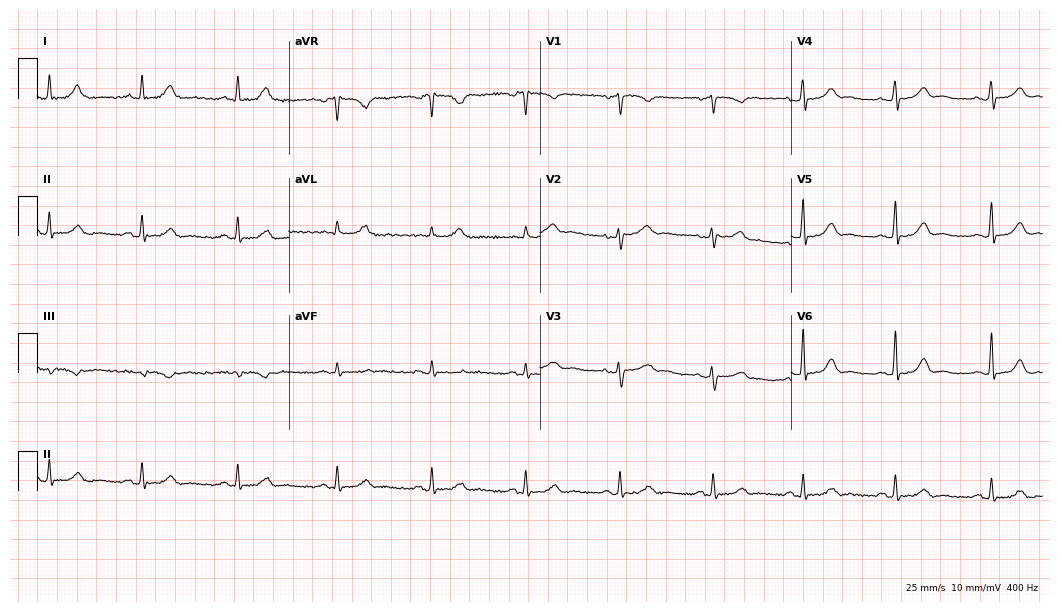
Resting 12-lead electrocardiogram. Patient: a 59-year-old female. Read as a normal ECG.